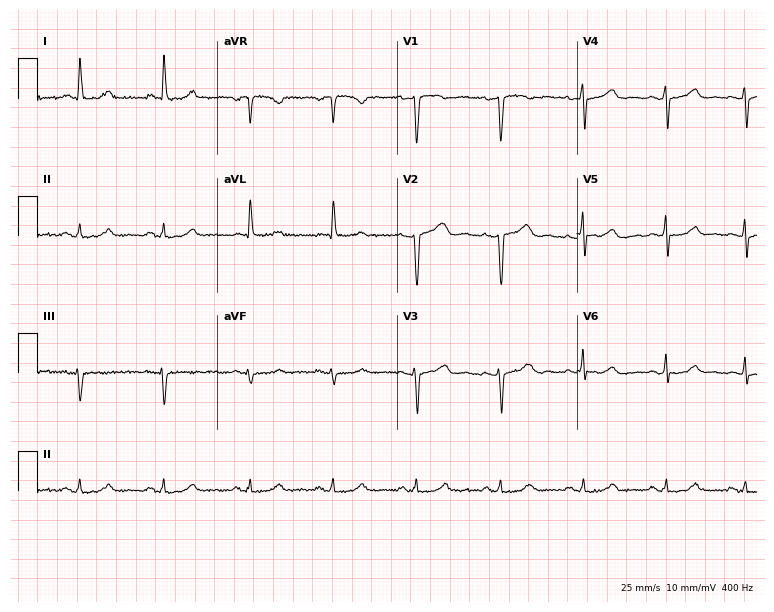
Electrocardiogram (7.3-second recording at 400 Hz), a female patient, 43 years old. Of the six screened findings (first-degree AV block, right bundle branch block, left bundle branch block, sinus bradycardia, atrial fibrillation, sinus tachycardia), none is recorded.